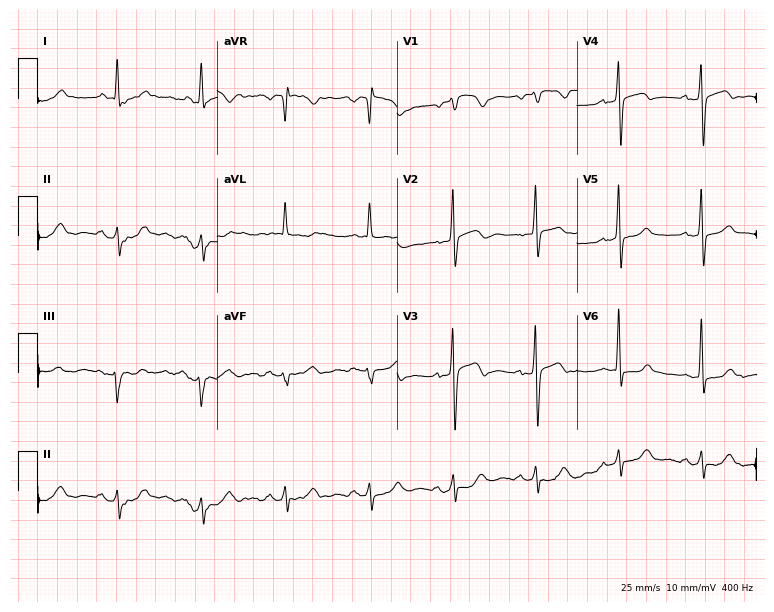
12-lead ECG from an 80-year-old woman. Screened for six findings — first-degree AV block, right bundle branch block, left bundle branch block, sinus bradycardia, atrial fibrillation, sinus tachycardia — none is recorded.